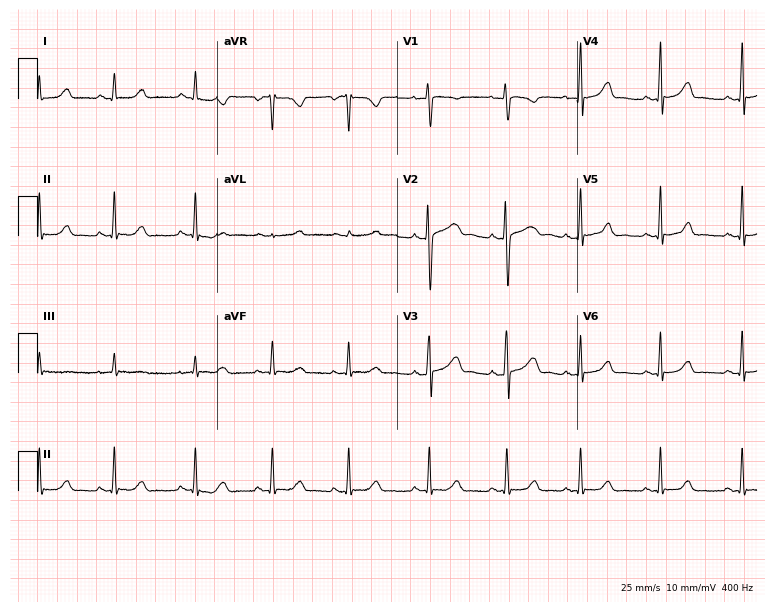
Standard 12-lead ECG recorded from a woman, 19 years old. None of these six findings is recorded: first-degree AV block, right bundle branch block, left bundle branch block, sinus bradycardia, atrial fibrillation, sinus tachycardia. Findings outside these six are not listed.